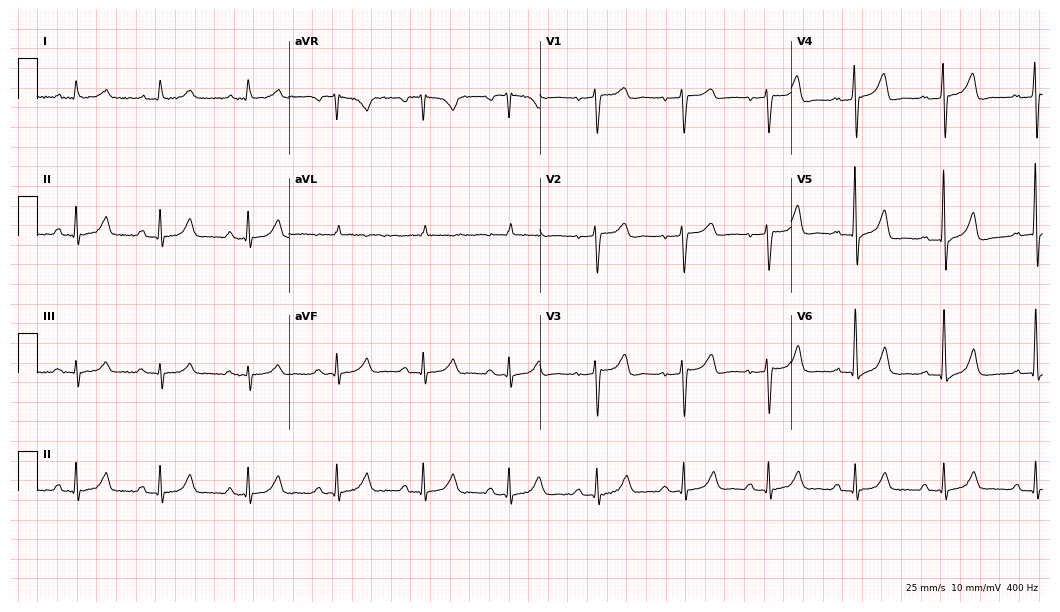
Resting 12-lead electrocardiogram. Patient: a 71-year-old man. Read as a normal ECG.